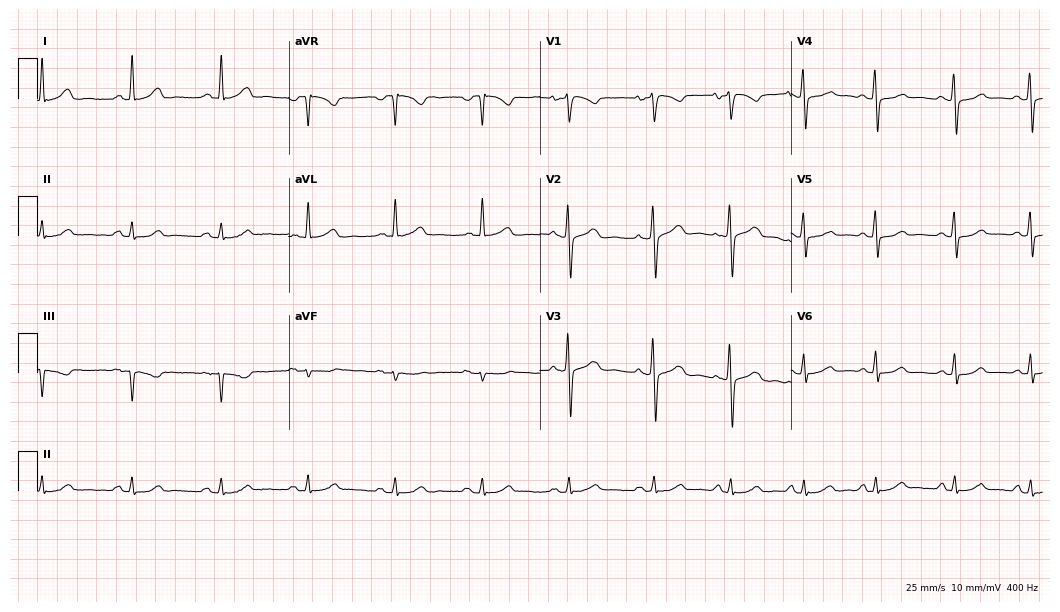
Standard 12-lead ECG recorded from a 59-year-old woman. Read as a normal ECG.